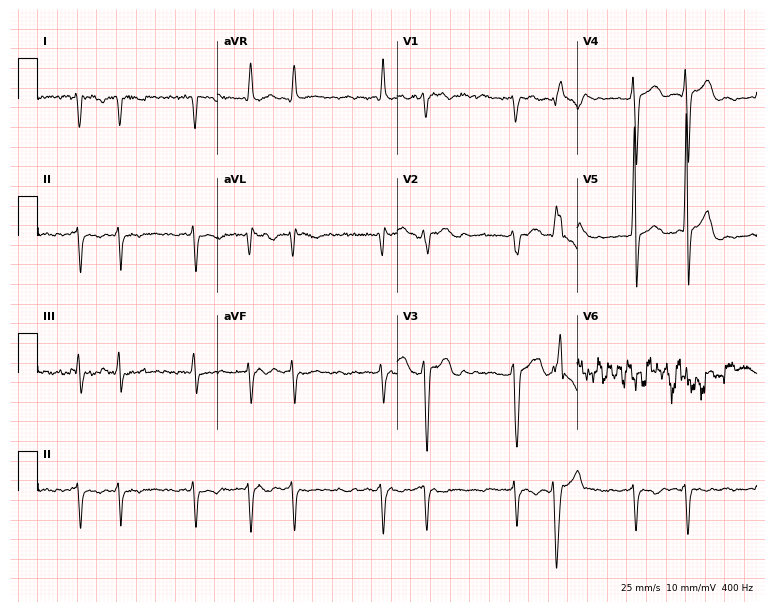
Resting 12-lead electrocardiogram. Patient: a male, 81 years old. None of these six findings is recorded: first-degree AV block, right bundle branch block, left bundle branch block, sinus bradycardia, atrial fibrillation, sinus tachycardia.